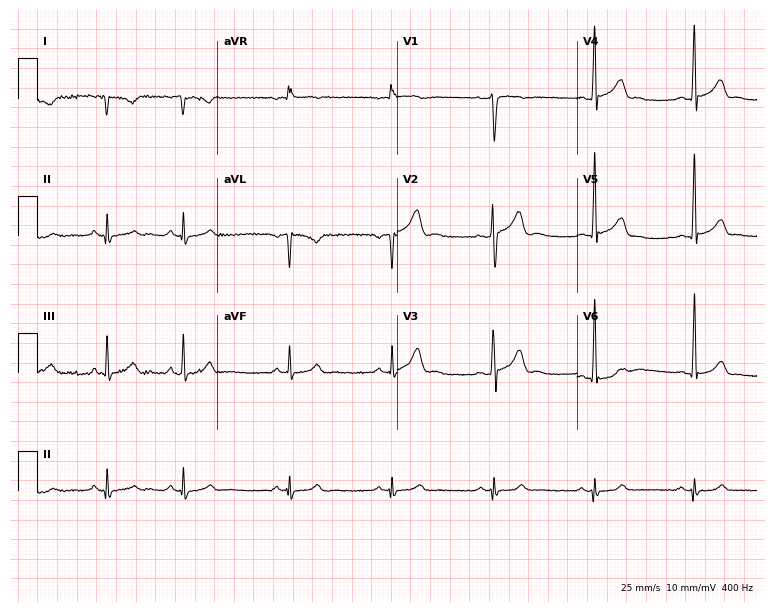
Electrocardiogram (7.3-second recording at 400 Hz), a 28-year-old male patient. Of the six screened findings (first-degree AV block, right bundle branch block (RBBB), left bundle branch block (LBBB), sinus bradycardia, atrial fibrillation (AF), sinus tachycardia), none is recorded.